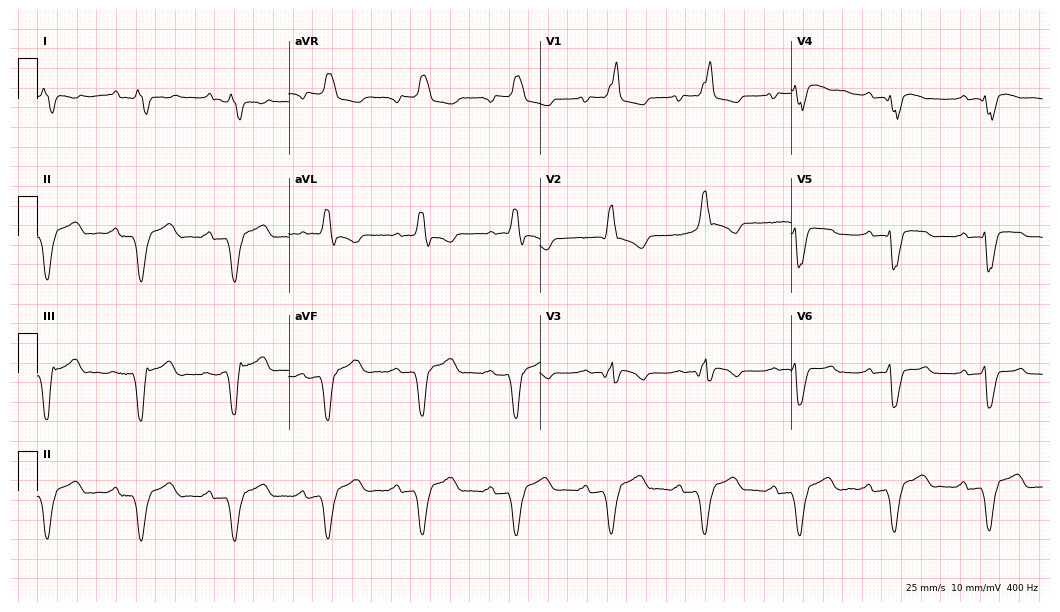
12-lead ECG from a man, 76 years old (10.2-second recording at 400 Hz). Shows first-degree AV block, right bundle branch block.